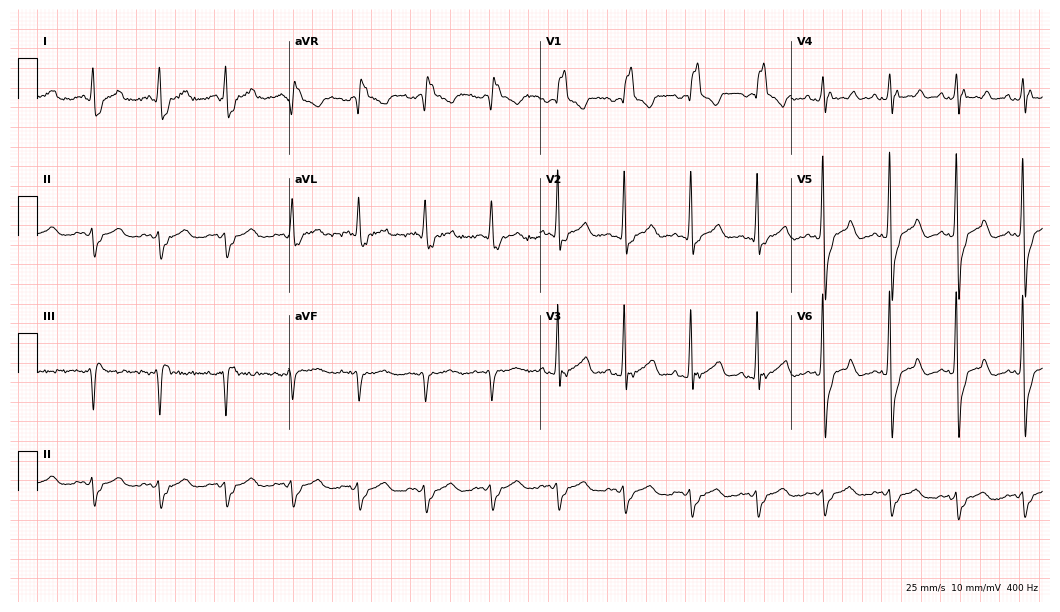
12-lead ECG from a 71-year-old man. Findings include right bundle branch block.